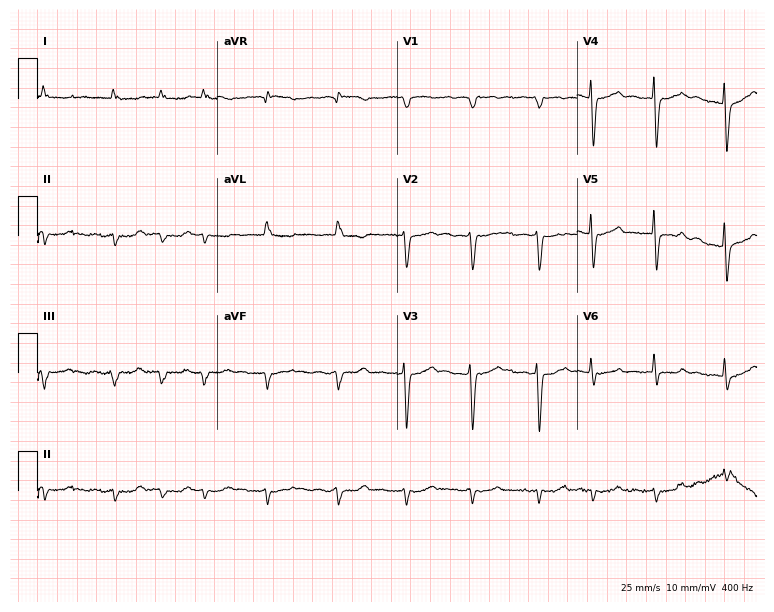
Resting 12-lead electrocardiogram. Patient: a female, 85 years old. The tracing shows atrial fibrillation.